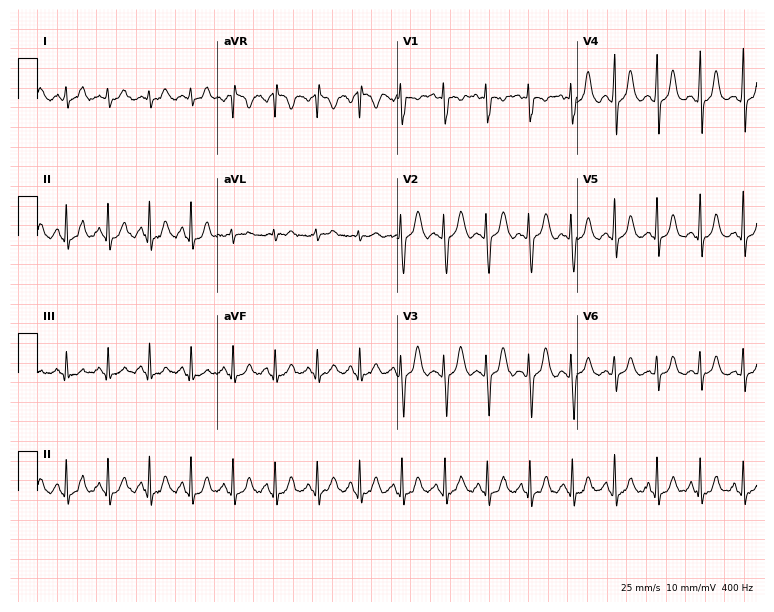
Standard 12-lead ECG recorded from a female, 18 years old. The tracing shows sinus tachycardia (a sinus rate of 100 beats per minute or more).